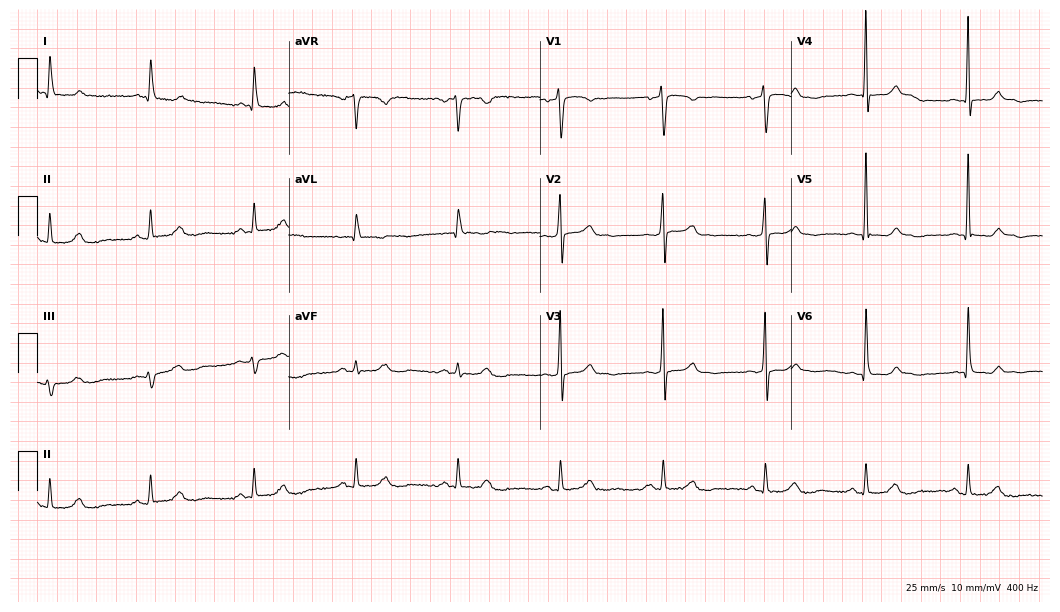
12-lead ECG (10.2-second recording at 400 Hz) from a woman, 81 years old. Screened for six findings — first-degree AV block, right bundle branch block, left bundle branch block, sinus bradycardia, atrial fibrillation, sinus tachycardia — none is recorded. Findings outside these six are not listed.